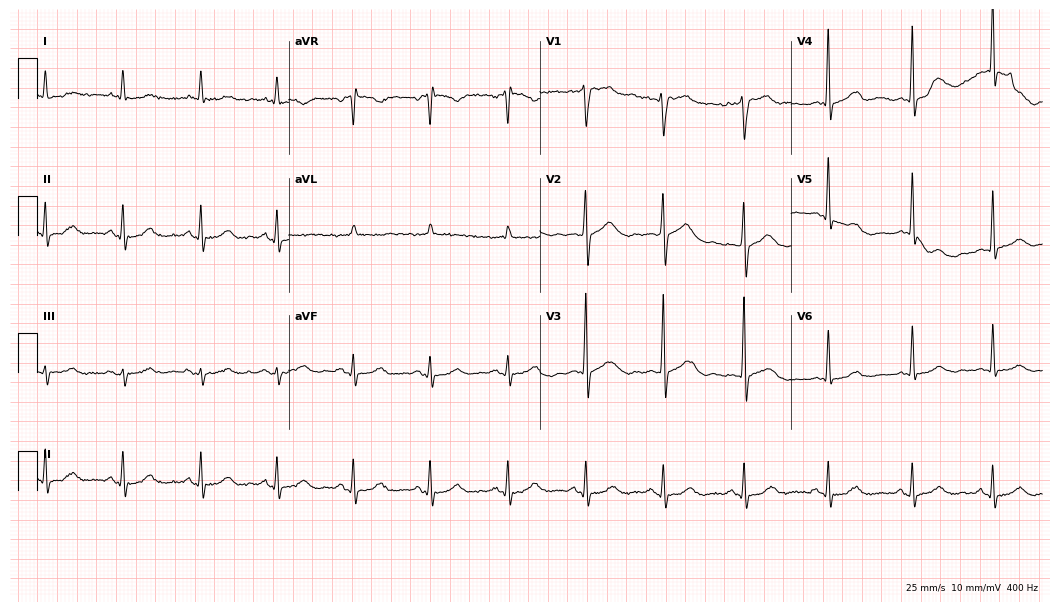
Electrocardiogram, a male patient, 59 years old. Overall reading on record: normal ECG.